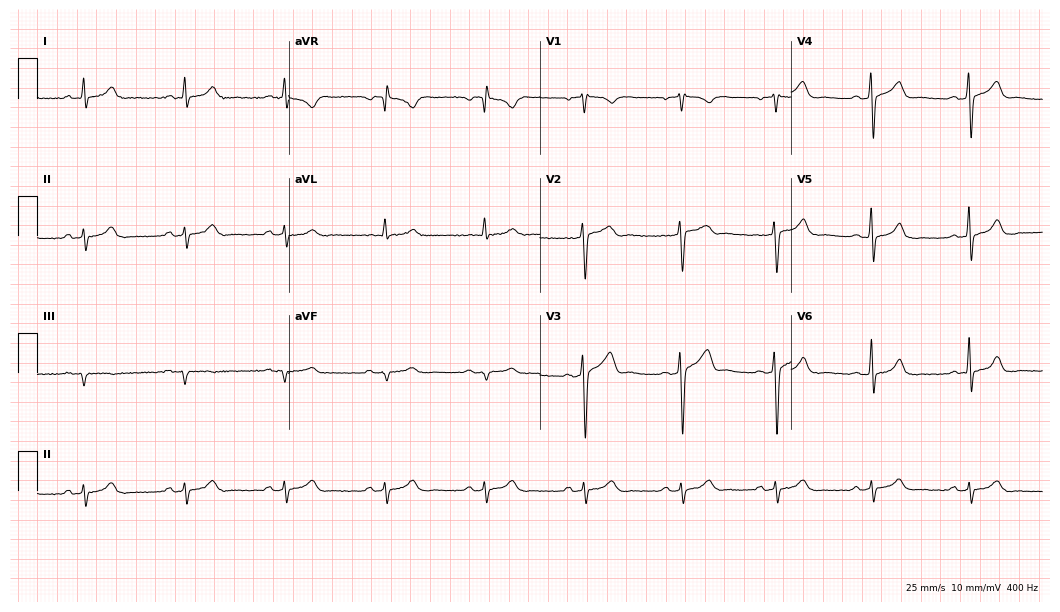
Resting 12-lead electrocardiogram. Patient: a 45-year-old male. None of these six findings is recorded: first-degree AV block, right bundle branch block (RBBB), left bundle branch block (LBBB), sinus bradycardia, atrial fibrillation (AF), sinus tachycardia.